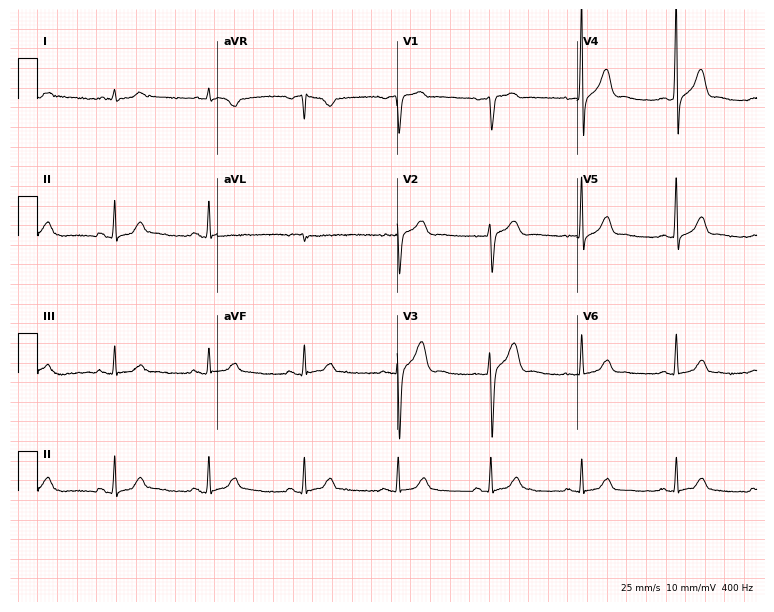
12-lead ECG from a 76-year-old man (7.3-second recording at 400 Hz). Recorded interpretation: within normal limits.